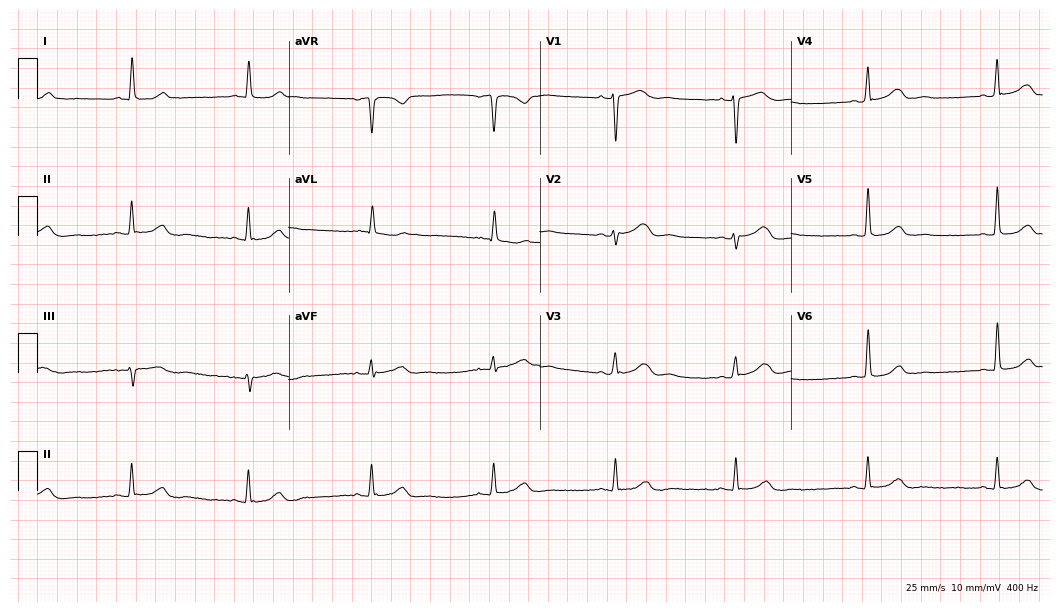
Electrocardiogram (10.2-second recording at 400 Hz), a 68-year-old female patient. Interpretation includes sinus bradycardia (a sinus rate of 50 beats per minute or less).